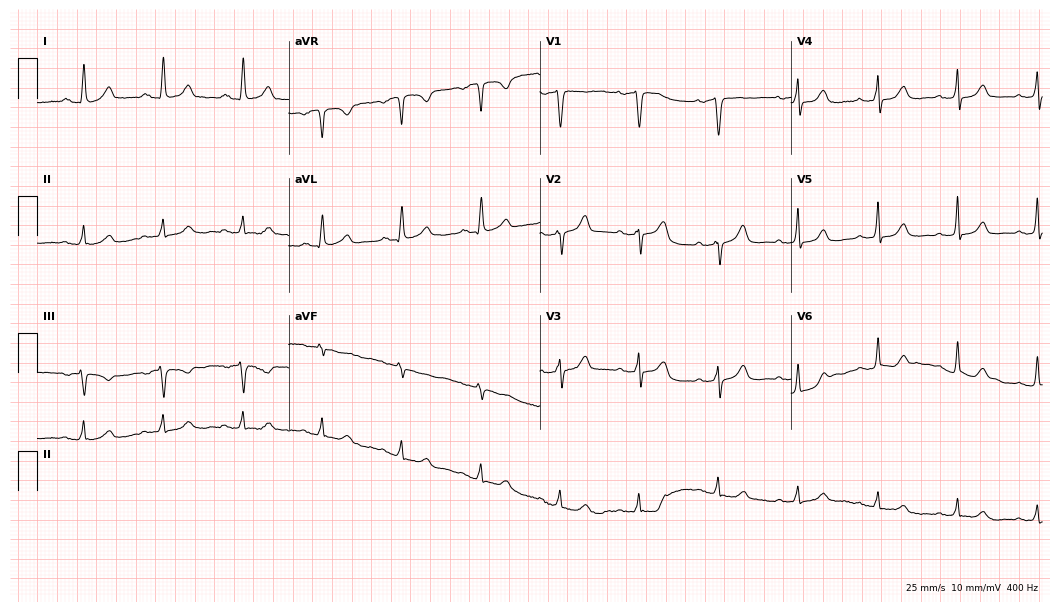
12-lead ECG from a female patient, 85 years old (10.2-second recording at 400 Hz). Recorded interpretation: within normal limits.